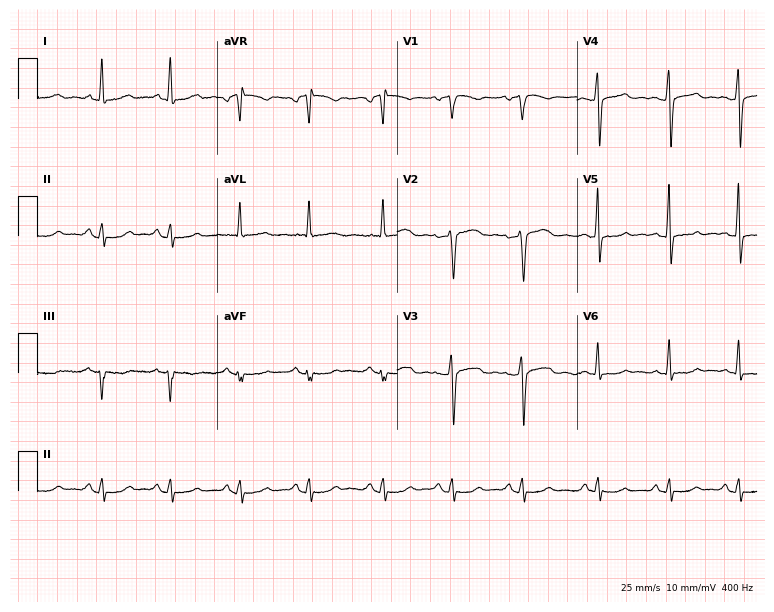
12-lead ECG from a 46-year-old female patient. No first-degree AV block, right bundle branch block, left bundle branch block, sinus bradycardia, atrial fibrillation or sinus tachycardia recorded for this tracing.